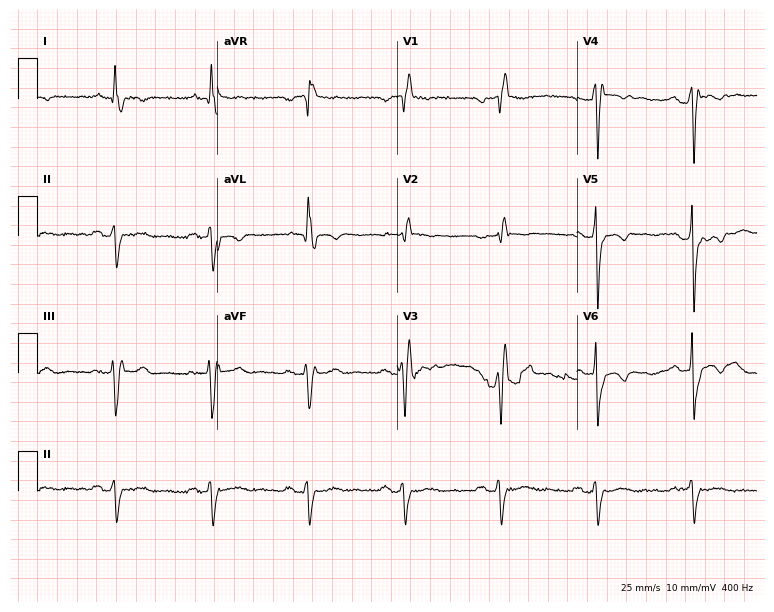
12-lead ECG from a man, 79 years old. Findings include right bundle branch block.